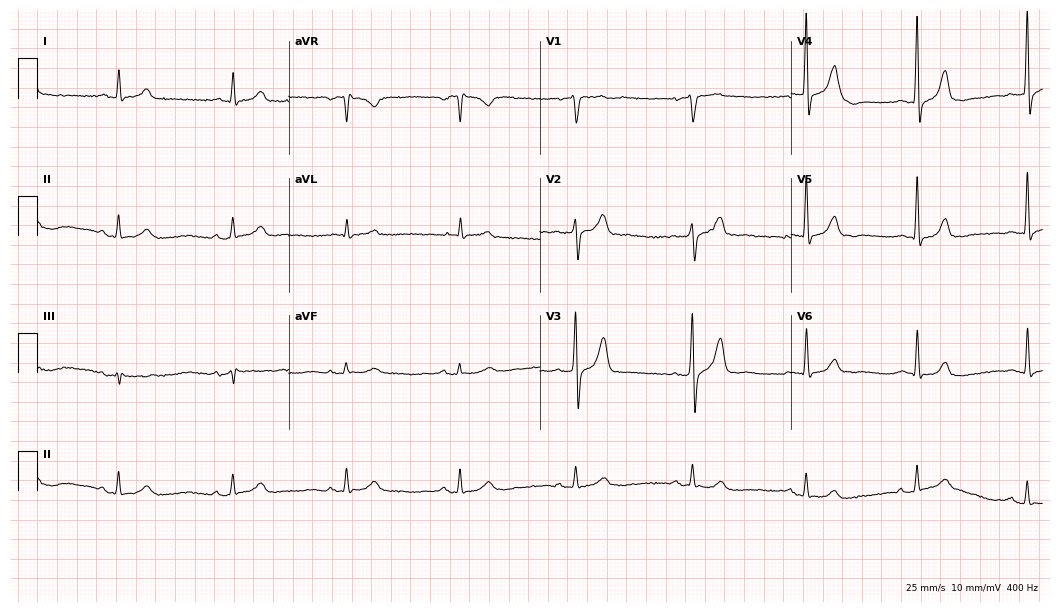
12-lead ECG from a male, 79 years old. Labelled as a normal ECG.